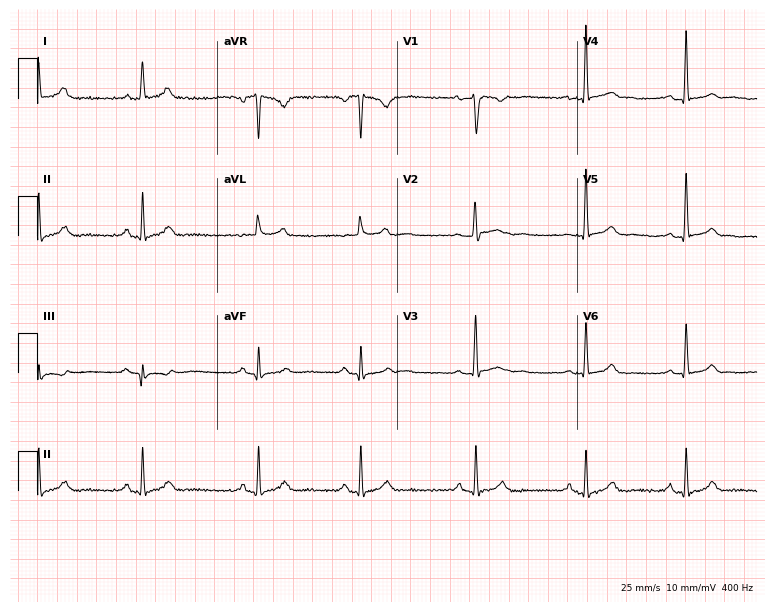
12-lead ECG (7.3-second recording at 400 Hz) from a female patient, 33 years old. Screened for six findings — first-degree AV block, right bundle branch block (RBBB), left bundle branch block (LBBB), sinus bradycardia, atrial fibrillation (AF), sinus tachycardia — none is recorded. Only these six findings were labelled.